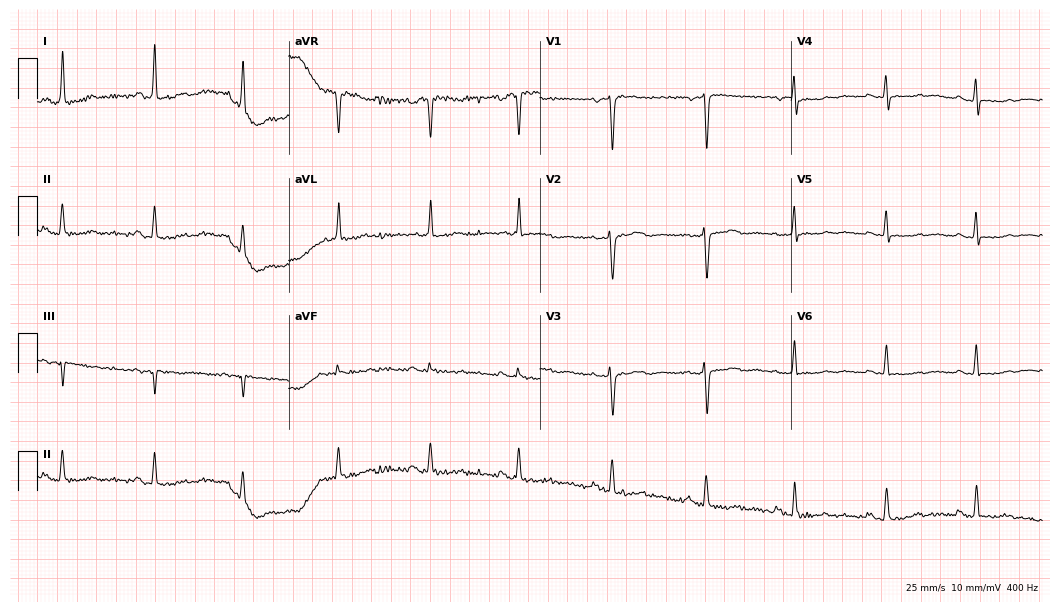
Electrocardiogram, a woman, 59 years old. Of the six screened findings (first-degree AV block, right bundle branch block (RBBB), left bundle branch block (LBBB), sinus bradycardia, atrial fibrillation (AF), sinus tachycardia), none is recorded.